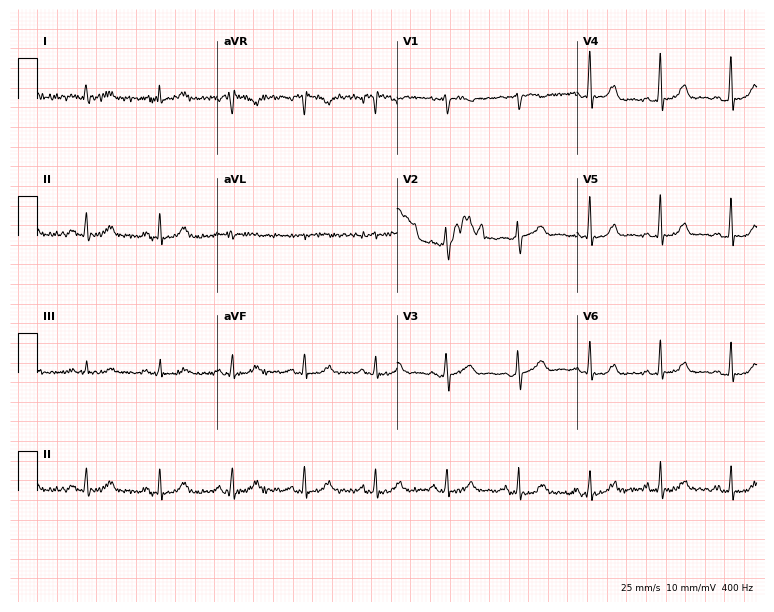
12-lead ECG from a female patient, 58 years old (7.3-second recording at 400 Hz). Recorded interpretation: within normal limits.